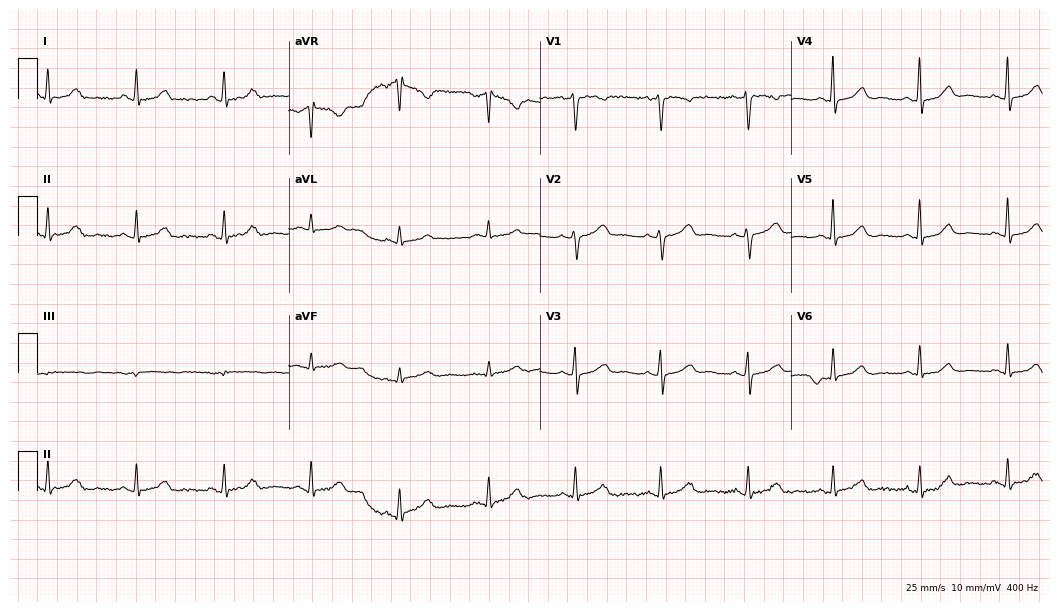
12-lead ECG from a 47-year-old woman (10.2-second recording at 400 Hz). Recorded interpretation: within normal limits.